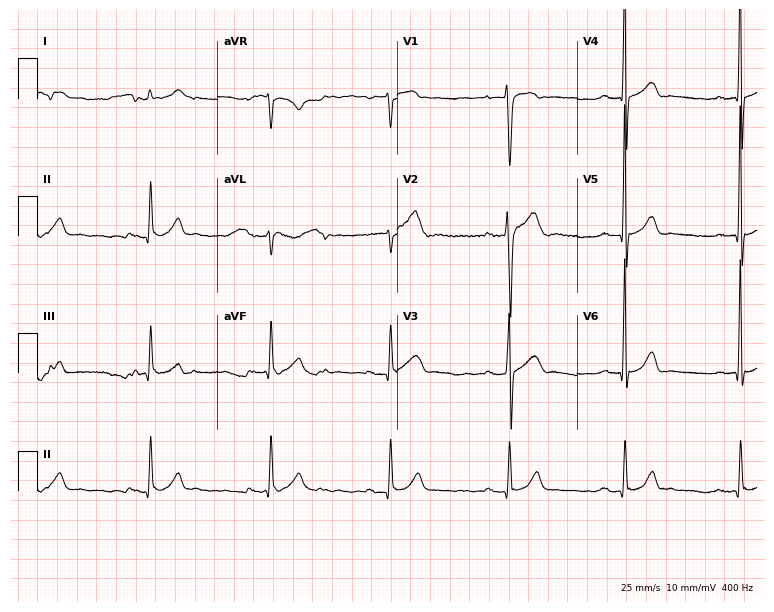
ECG — a 48-year-old male patient. Screened for six findings — first-degree AV block, right bundle branch block, left bundle branch block, sinus bradycardia, atrial fibrillation, sinus tachycardia — none is recorded. Only these six findings were labelled.